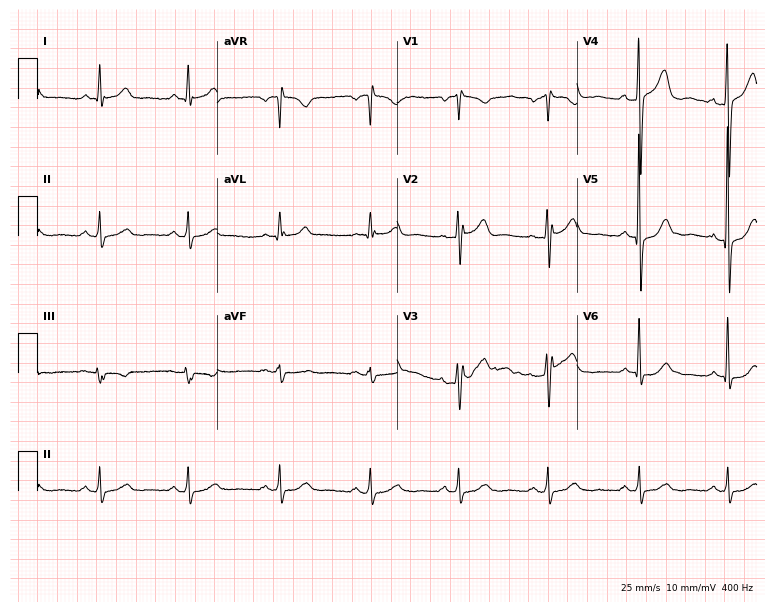
Resting 12-lead electrocardiogram. Patient: a male, 67 years old. Read as a normal ECG.